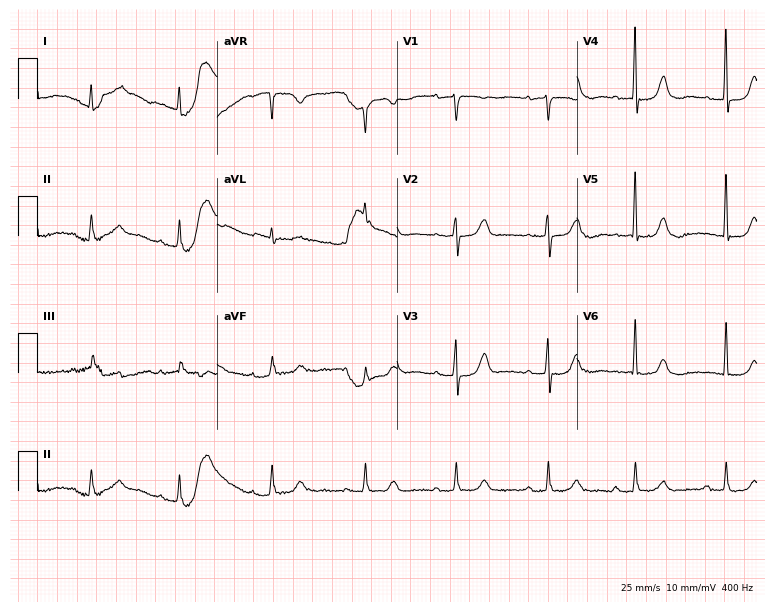
Electrocardiogram, an 80-year-old female patient. Of the six screened findings (first-degree AV block, right bundle branch block, left bundle branch block, sinus bradycardia, atrial fibrillation, sinus tachycardia), none is recorded.